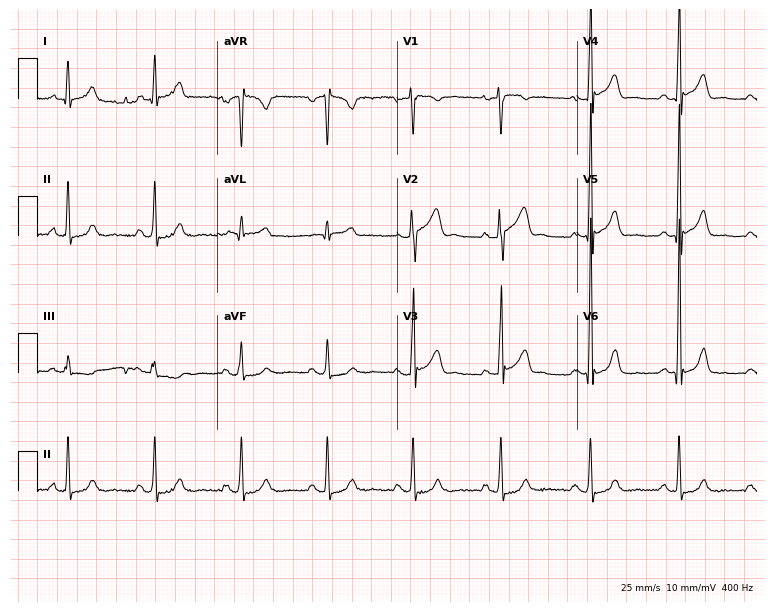
ECG — a man, 48 years old. Screened for six findings — first-degree AV block, right bundle branch block (RBBB), left bundle branch block (LBBB), sinus bradycardia, atrial fibrillation (AF), sinus tachycardia — none is recorded.